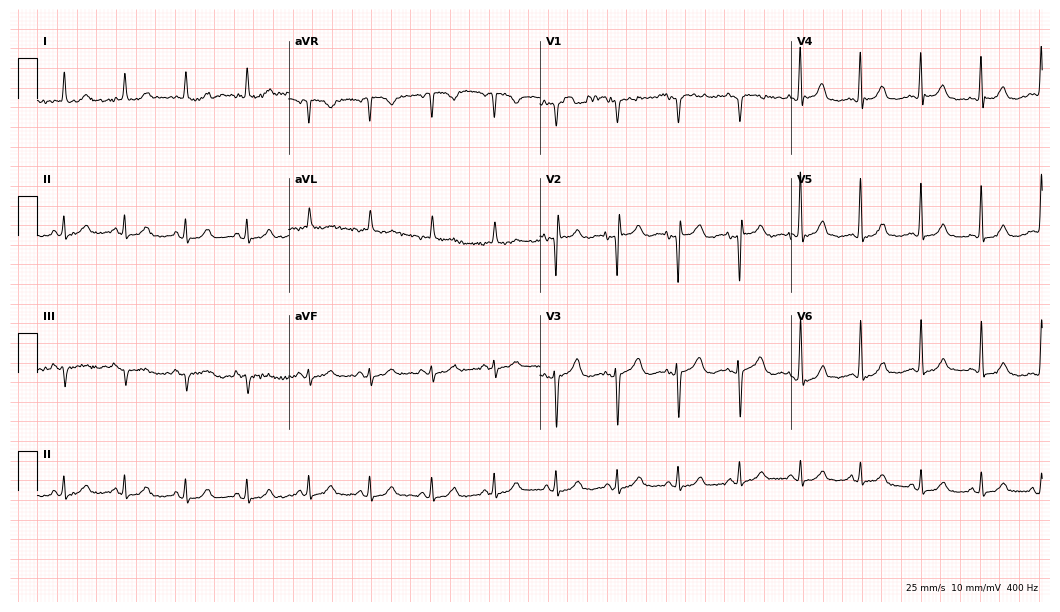
Resting 12-lead electrocardiogram (10.2-second recording at 400 Hz). Patient: a female, 76 years old. Read as a normal ECG.